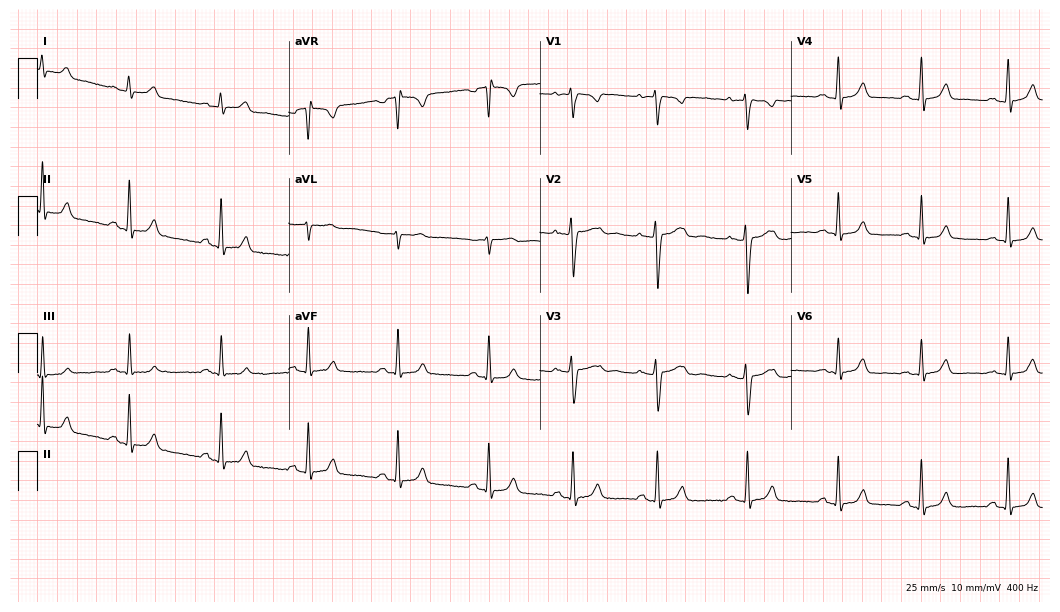
12-lead ECG from an 18-year-old female patient (10.2-second recording at 400 Hz). Recorded interpretation: within normal limits.